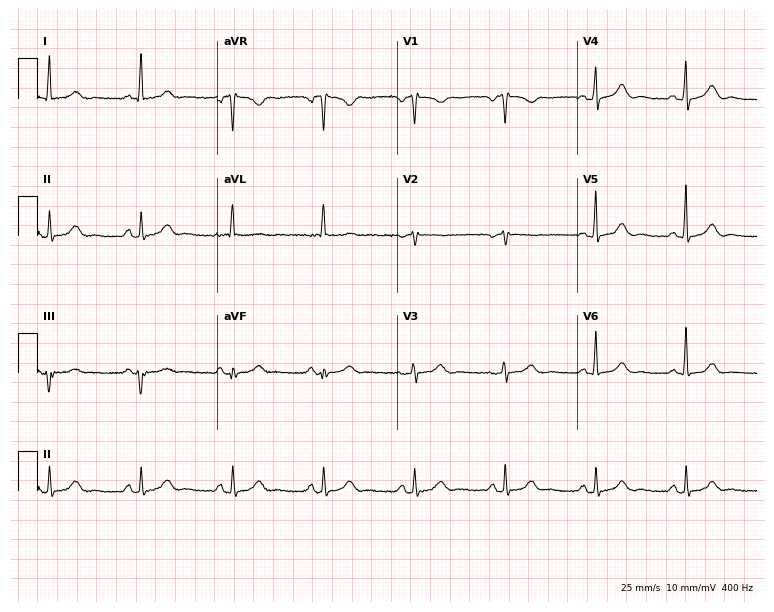
ECG (7.3-second recording at 400 Hz) — a female, 67 years old. Screened for six findings — first-degree AV block, right bundle branch block, left bundle branch block, sinus bradycardia, atrial fibrillation, sinus tachycardia — none is recorded. Findings outside these six are not listed.